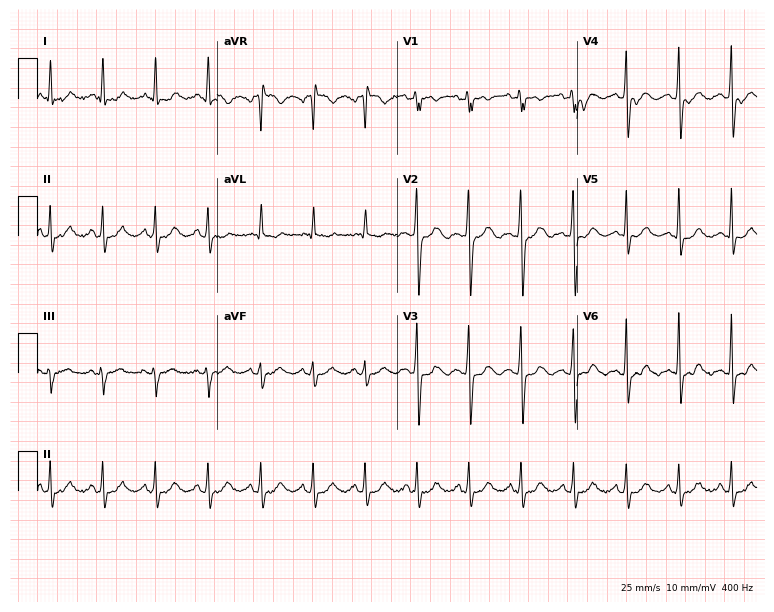
ECG — a woman, 56 years old. Findings include sinus tachycardia (a sinus rate of 100 beats per minute or more).